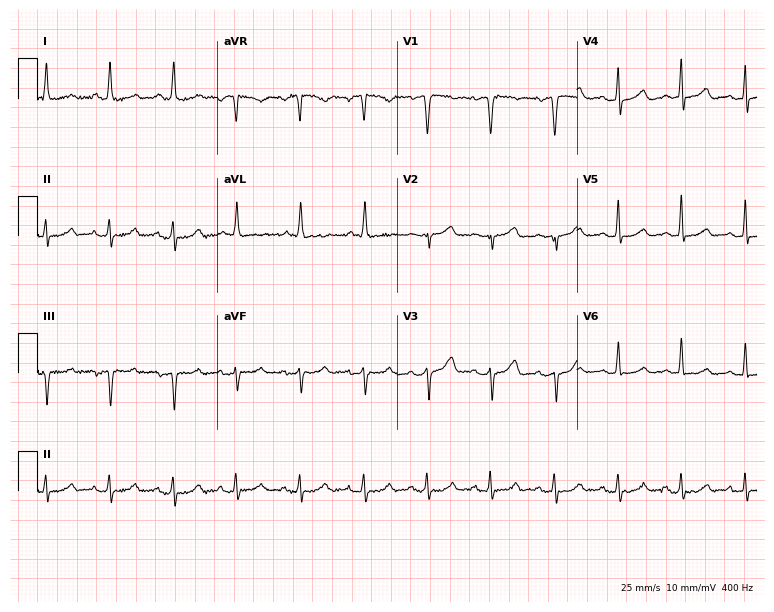
12-lead ECG (7.3-second recording at 400 Hz) from a 71-year-old female patient. Screened for six findings — first-degree AV block, right bundle branch block, left bundle branch block, sinus bradycardia, atrial fibrillation, sinus tachycardia — none is recorded.